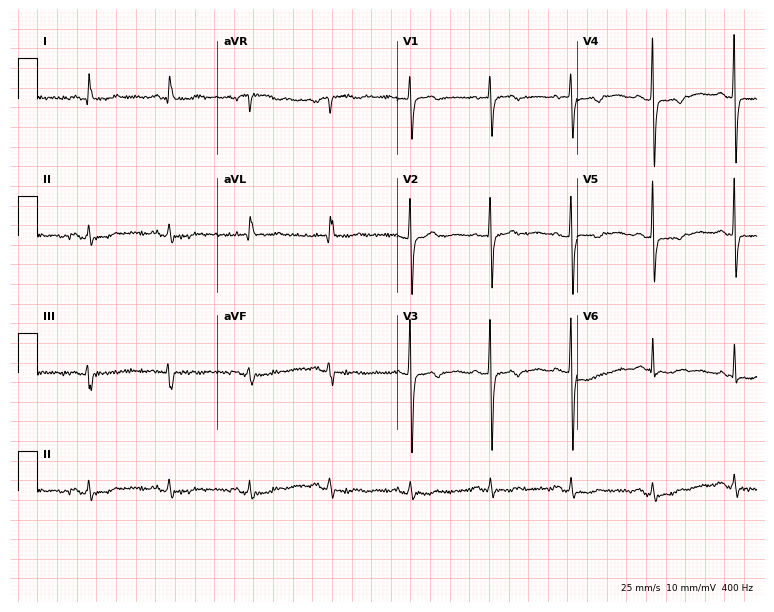
12-lead ECG (7.3-second recording at 400 Hz) from a female, 59 years old. Screened for six findings — first-degree AV block, right bundle branch block, left bundle branch block, sinus bradycardia, atrial fibrillation, sinus tachycardia — none is recorded. Only these six findings were labelled.